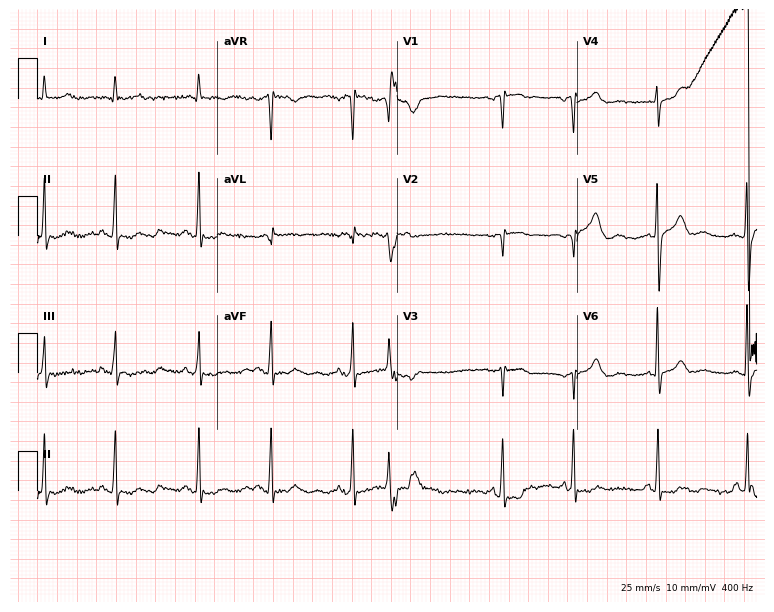
Electrocardiogram (7.3-second recording at 400 Hz), a man, 71 years old. Overall reading on record: normal ECG.